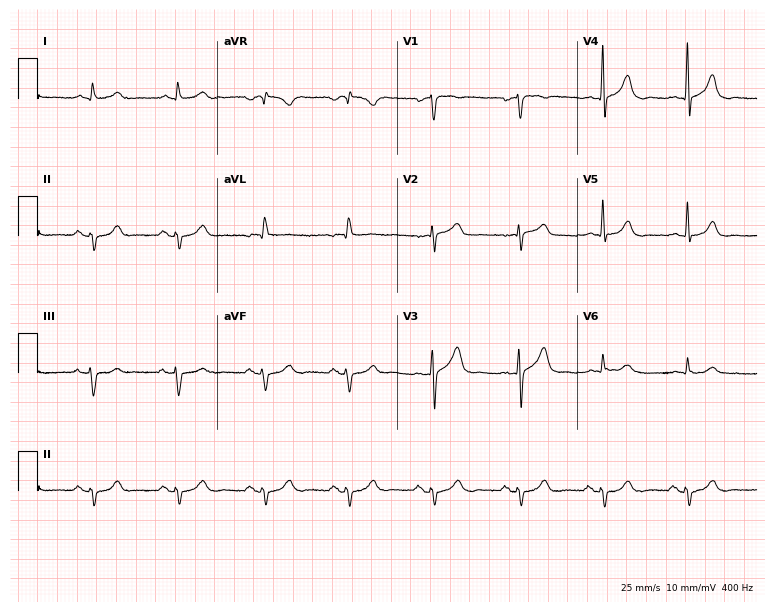
Resting 12-lead electrocardiogram. Patient: a male, 79 years old. None of these six findings is recorded: first-degree AV block, right bundle branch block, left bundle branch block, sinus bradycardia, atrial fibrillation, sinus tachycardia.